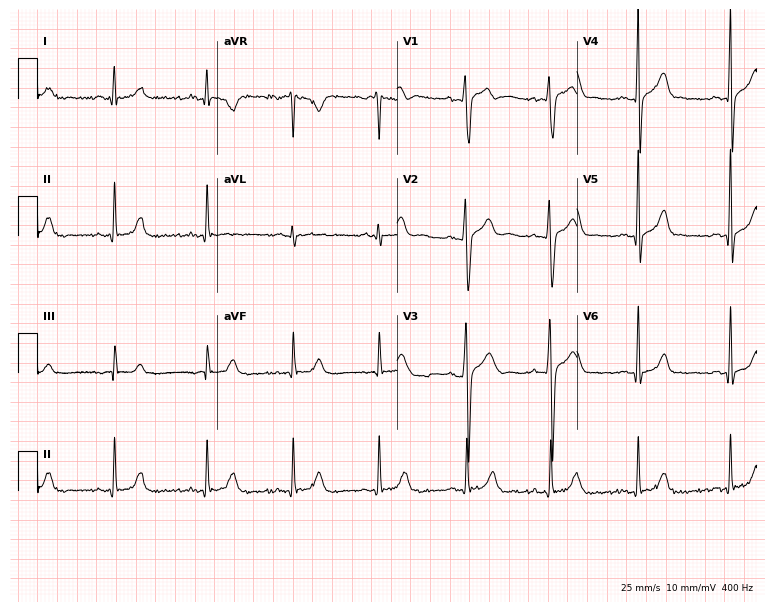
12-lead ECG from a 21-year-old man. Screened for six findings — first-degree AV block, right bundle branch block, left bundle branch block, sinus bradycardia, atrial fibrillation, sinus tachycardia — none is recorded.